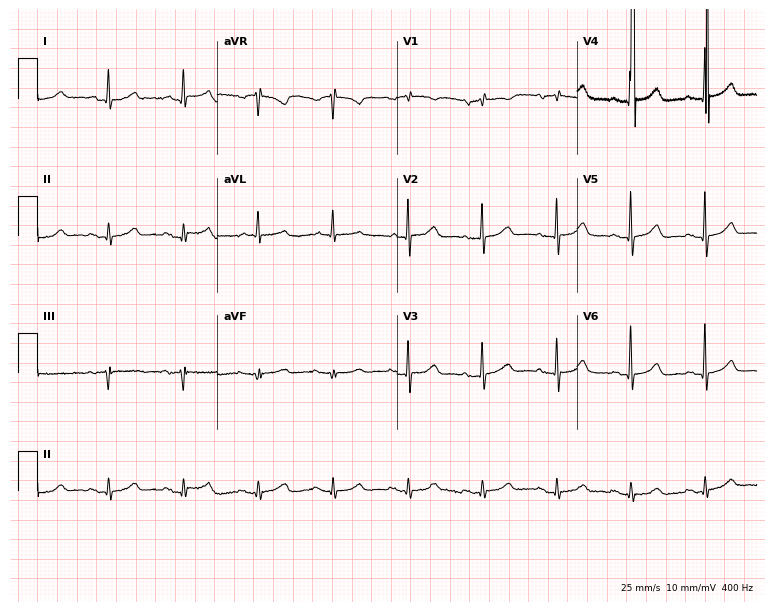
Electrocardiogram (7.3-second recording at 400 Hz), a female, 75 years old. Of the six screened findings (first-degree AV block, right bundle branch block, left bundle branch block, sinus bradycardia, atrial fibrillation, sinus tachycardia), none is recorded. Only these six findings were labelled.